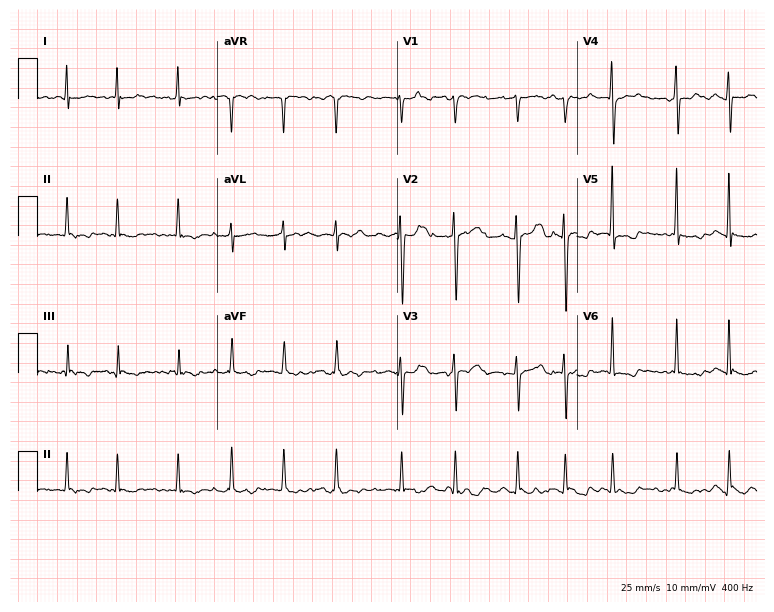
Electrocardiogram, a 64-year-old male patient. Interpretation includes atrial fibrillation.